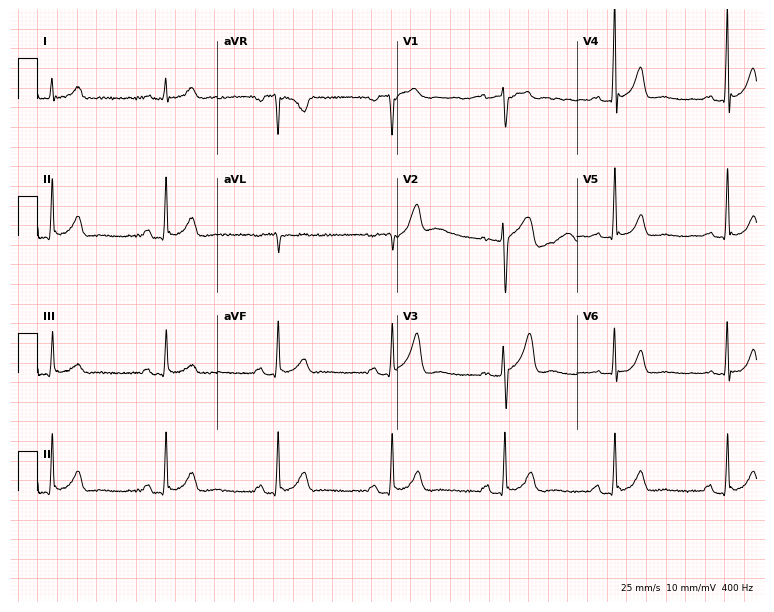
Electrocardiogram, a woman, 63 years old. Interpretation includes first-degree AV block.